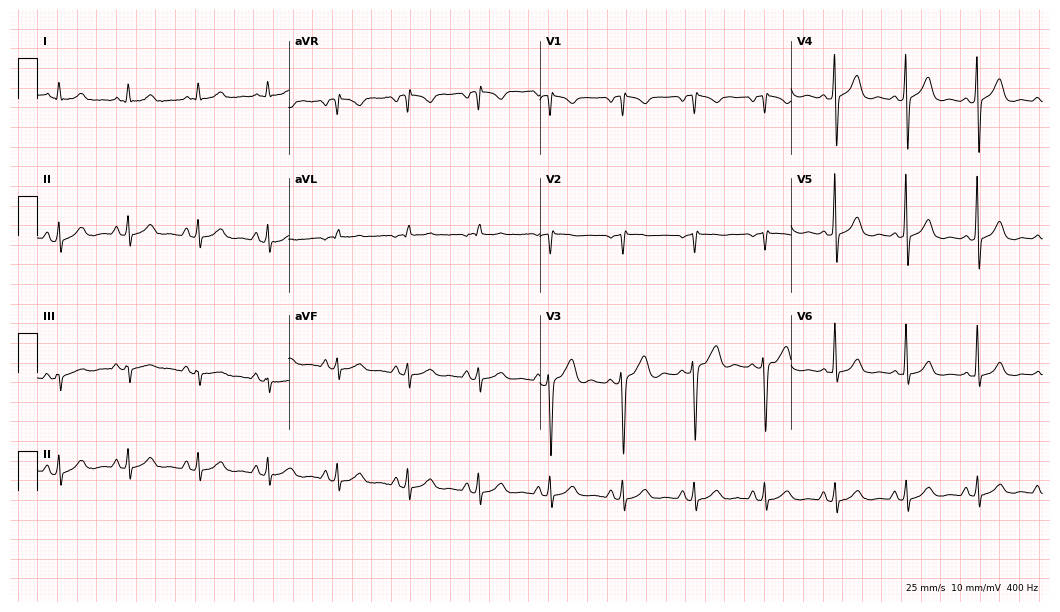
12-lead ECG (10.2-second recording at 400 Hz) from a man, 67 years old. Screened for six findings — first-degree AV block, right bundle branch block, left bundle branch block, sinus bradycardia, atrial fibrillation, sinus tachycardia — none is recorded.